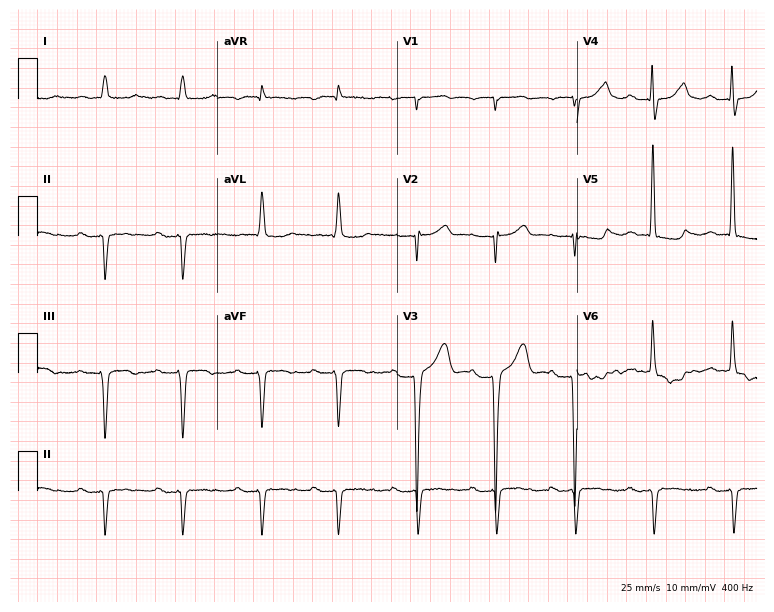
ECG — a male patient, 79 years old. Findings include first-degree AV block.